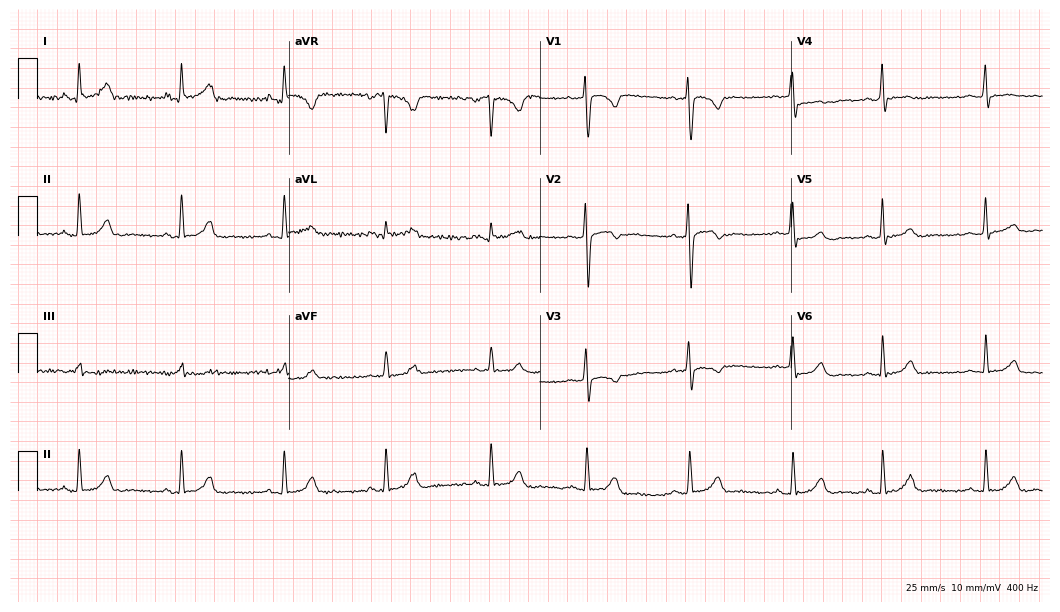
ECG — a 33-year-old female patient. Screened for six findings — first-degree AV block, right bundle branch block, left bundle branch block, sinus bradycardia, atrial fibrillation, sinus tachycardia — none is recorded.